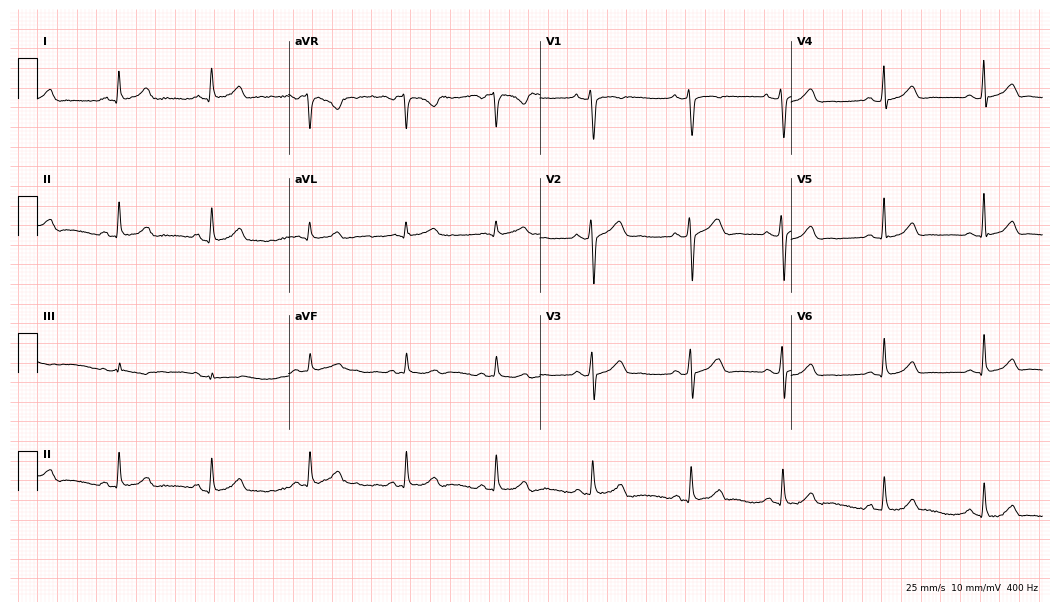
Standard 12-lead ECG recorded from a woman, 32 years old (10.2-second recording at 400 Hz). Read as a normal ECG.